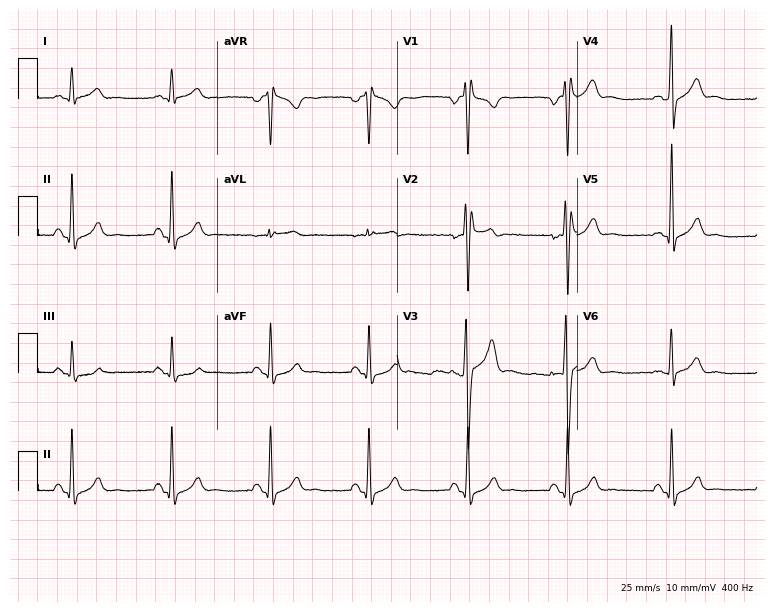
Electrocardiogram, a male patient, 31 years old. Interpretation includes right bundle branch block.